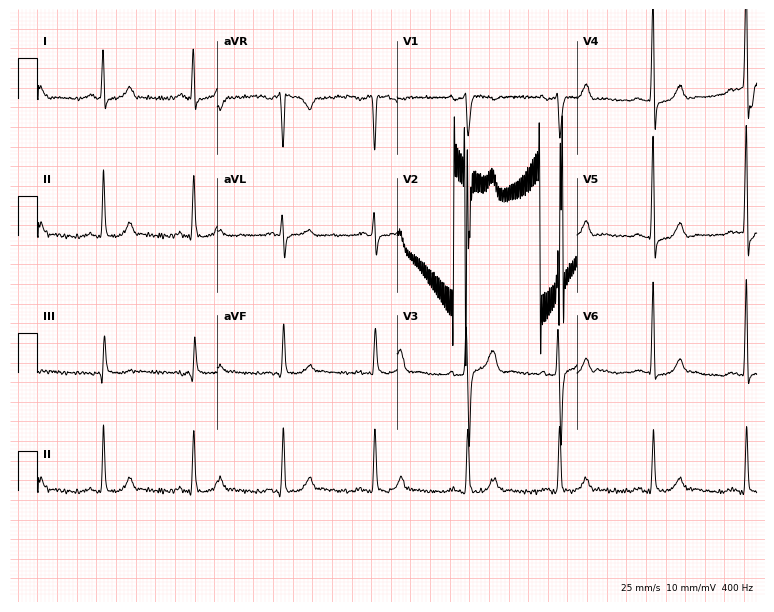
Standard 12-lead ECG recorded from a 52-year-old man. Read as a normal ECG.